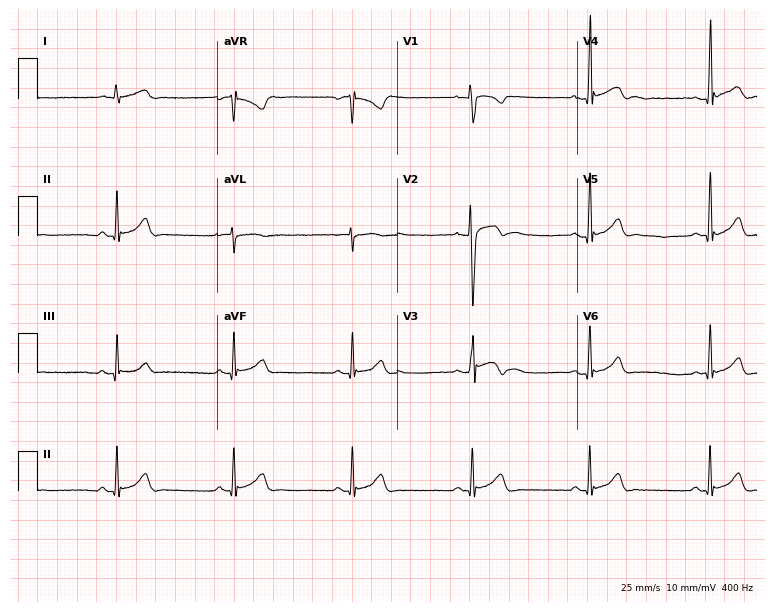
12-lead ECG from a 22-year-old male. Findings include sinus bradycardia (a sinus rate of 50 beats per minute or less).